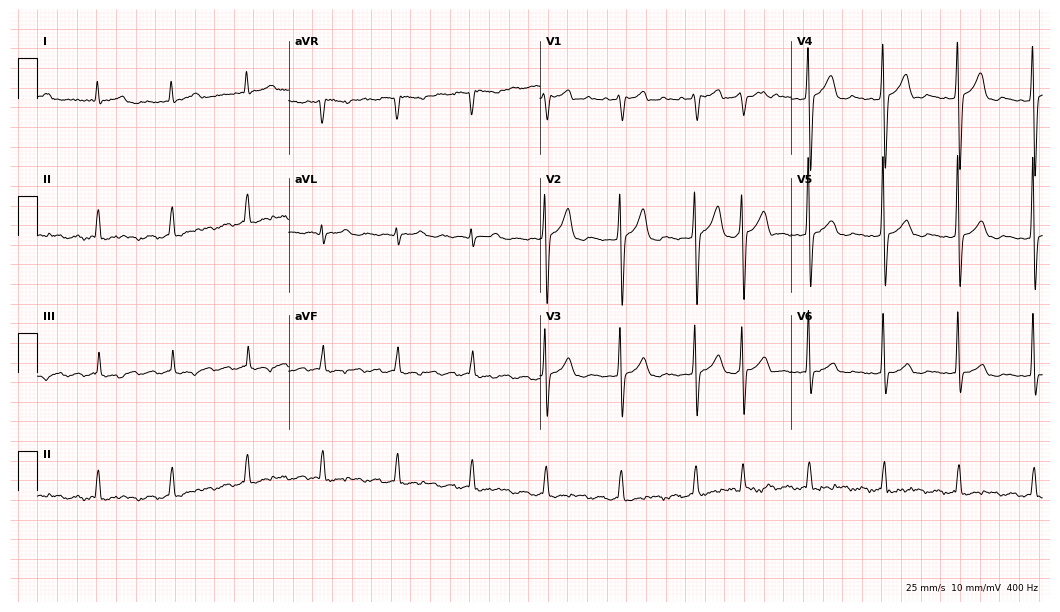
ECG (10.2-second recording at 400 Hz) — a male, 74 years old. Findings include atrial fibrillation.